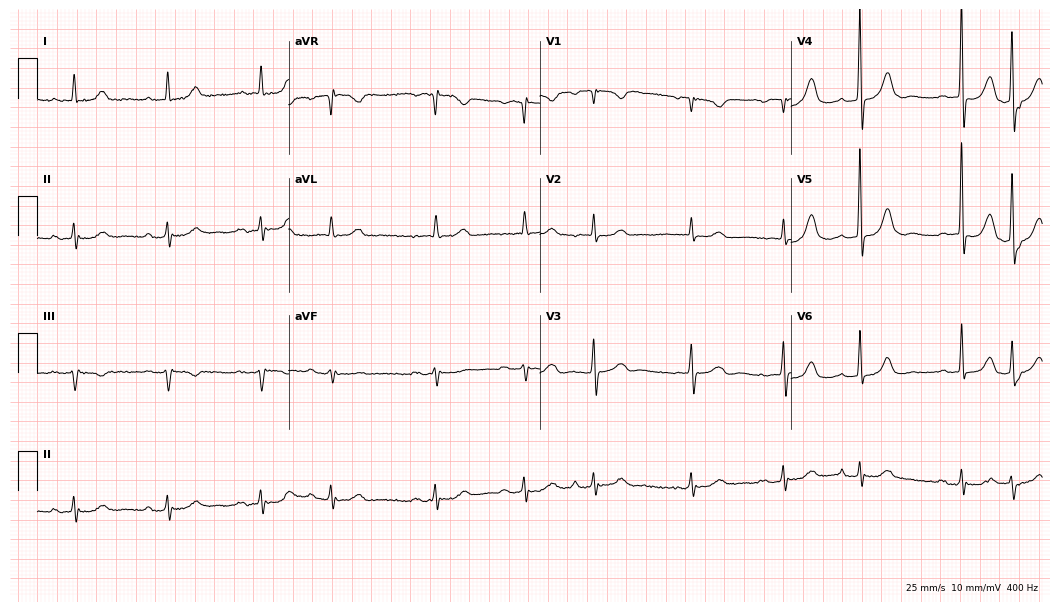
12-lead ECG from an 85-year-old female patient. Findings include first-degree AV block.